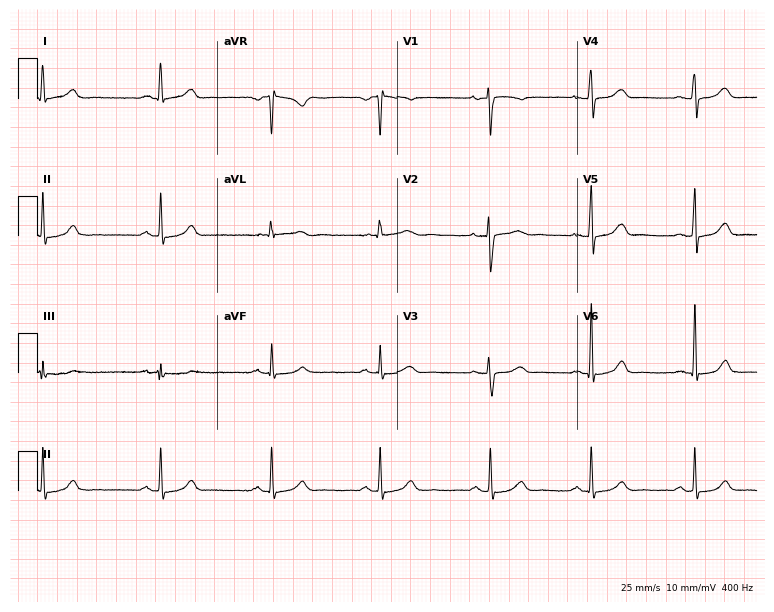
12-lead ECG from a woman, 41 years old. Screened for six findings — first-degree AV block, right bundle branch block, left bundle branch block, sinus bradycardia, atrial fibrillation, sinus tachycardia — none is recorded. Only these six findings were labelled.